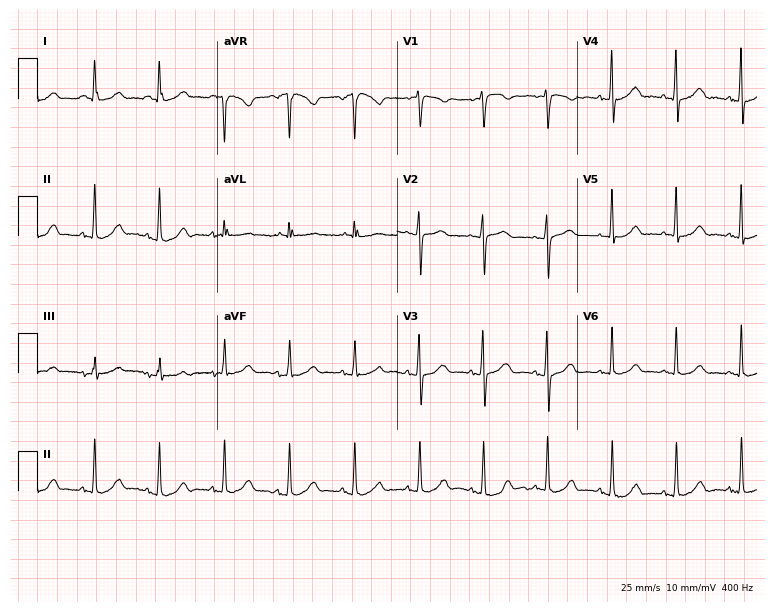
Resting 12-lead electrocardiogram (7.3-second recording at 400 Hz). Patient: a woman, 58 years old. Read as a normal ECG.